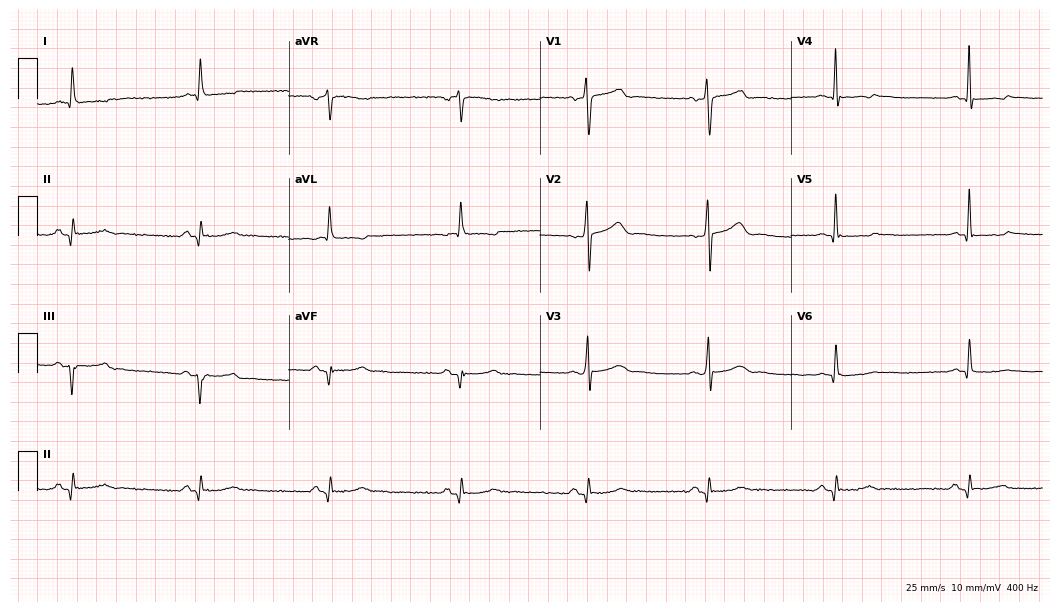
Resting 12-lead electrocardiogram. Patient: a man, 49 years old. The tracing shows sinus bradycardia (a sinus rate of 50 beats per minute or less).